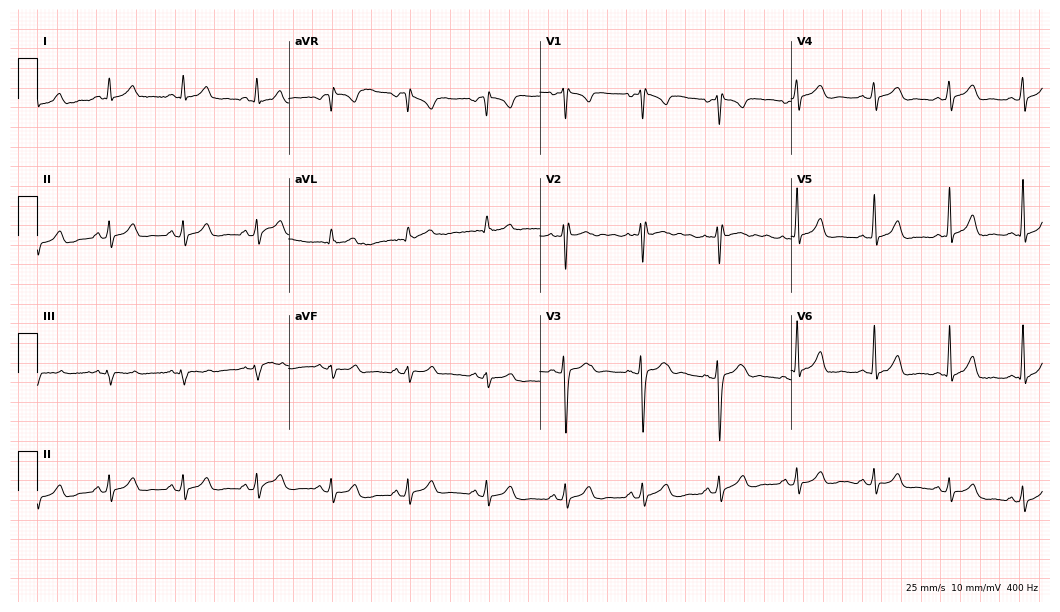
Standard 12-lead ECG recorded from a woman, 27 years old (10.2-second recording at 400 Hz). None of these six findings is recorded: first-degree AV block, right bundle branch block, left bundle branch block, sinus bradycardia, atrial fibrillation, sinus tachycardia. Findings outside these six are not listed.